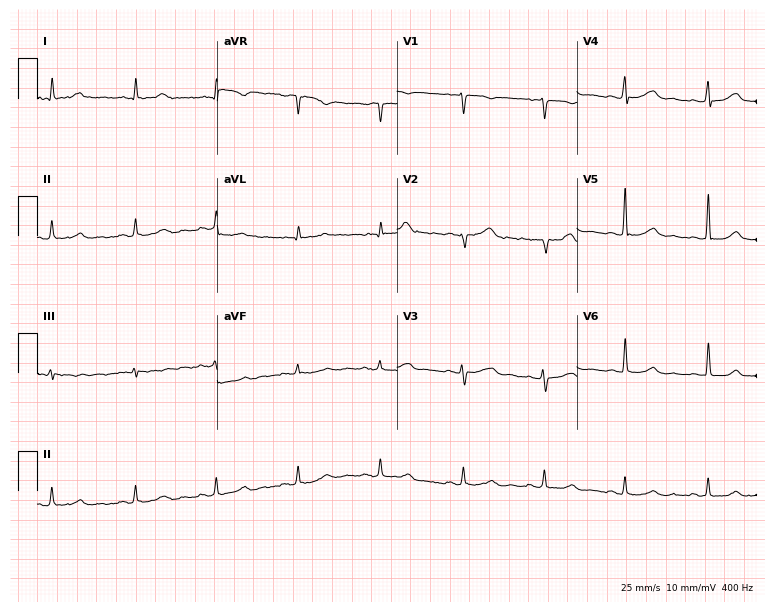
12-lead ECG from a 52-year-old female patient. Screened for six findings — first-degree AV block, right bundle branch block, left bundle branch block, sinus bradycardia, atrial fibrillation, sinus tachycardia — none is recorded.